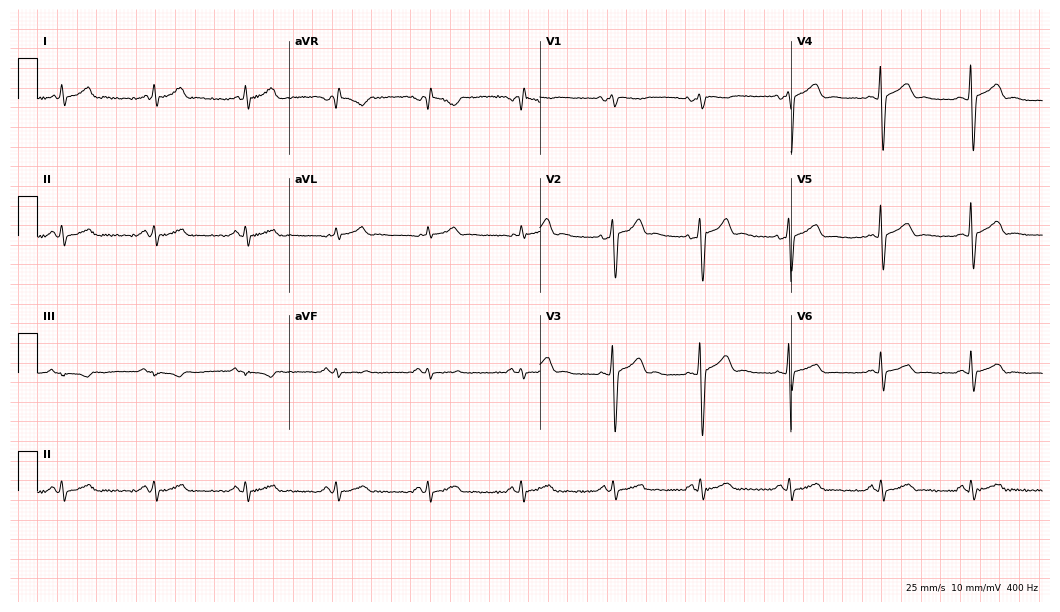
12-lead ECG from a 42-year-old male patient (10.2-second recording at 400 Hz). Recorded interpretation: within normal limits.